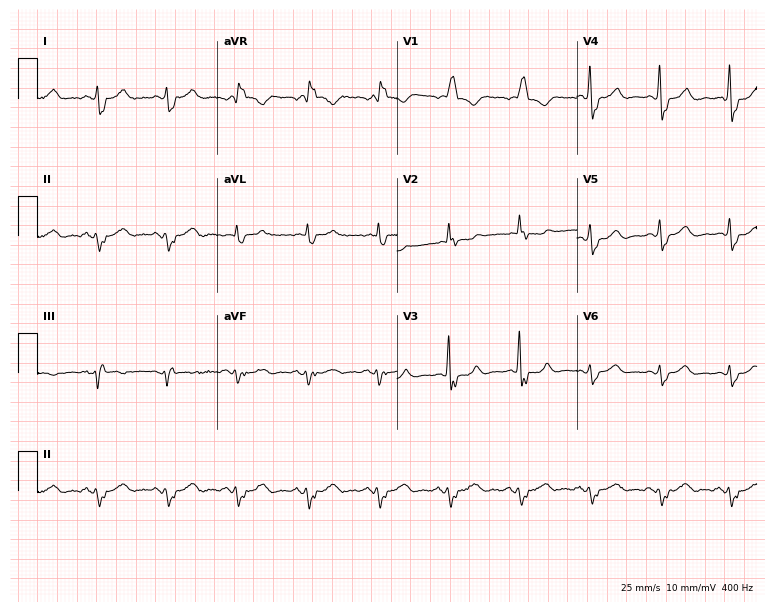
Resting 12-lead electrocardiogram (7.3-second recording at 400 Hz). Patient: a woman, 76 years old. The tracing shows right bundle branch block (RBBB).